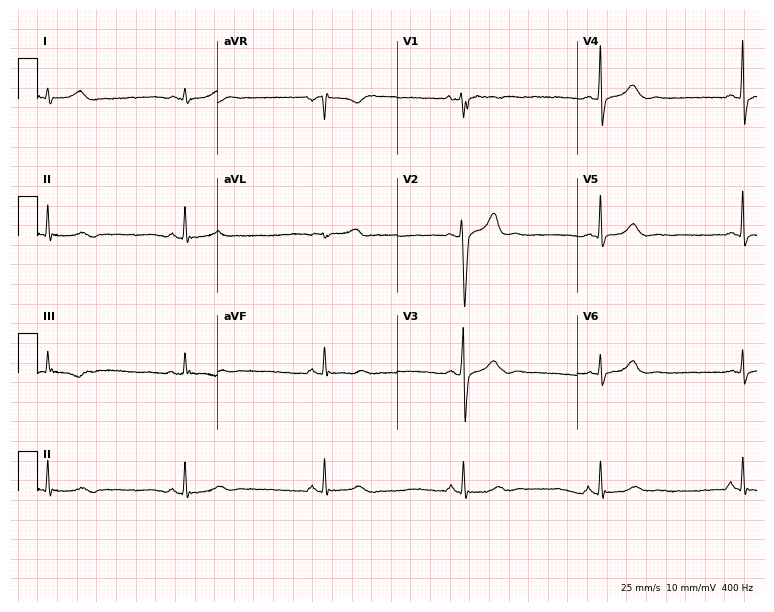
Electrocardiogram, a male patient, 52 years old. Interpretation includes sinus bradycardia (a sinus rate of 50 beats per minute or less).